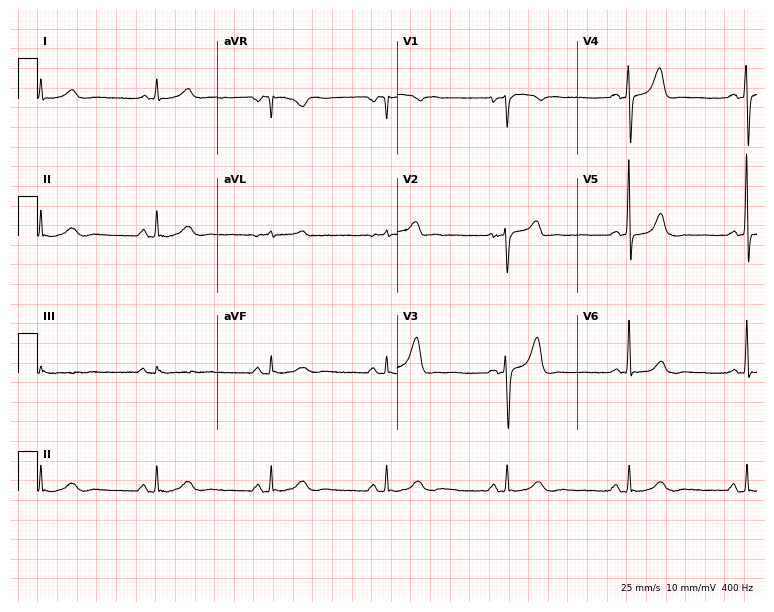
12-lead ECG (7.3-second recording at 400 Hz) from a male, 55 years old. Labelled as a normal ECG.